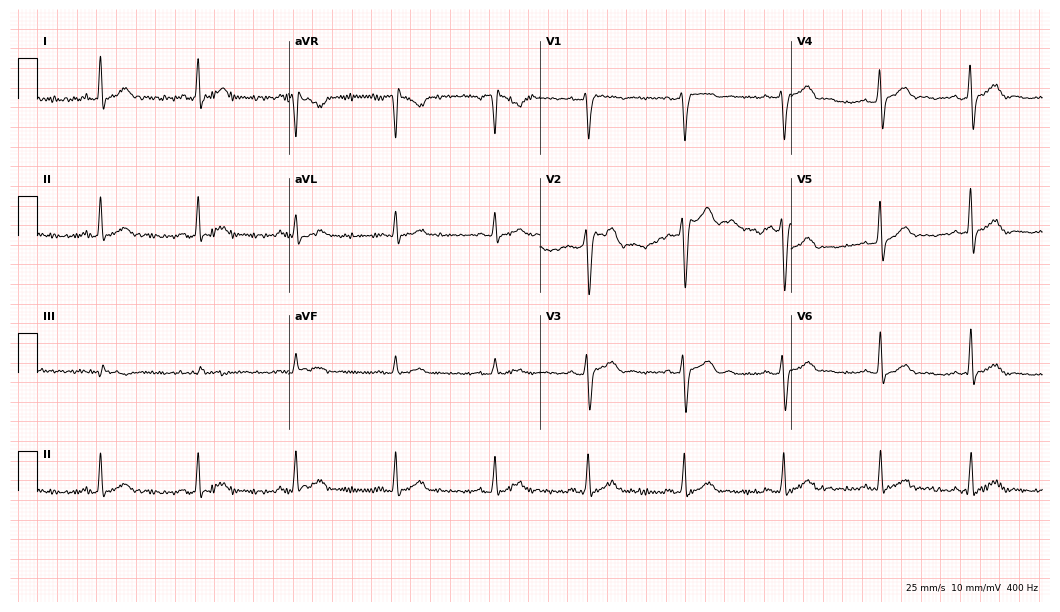
12-lead ECG from a man, 30 years old. Screened for six findings — first-degree AV block, right bundle branch block (RBBB), left bundle branch block (LBBB), sinus bradycardia, atrial fibrillation (AF), sinus tachycardia — none is recorded.